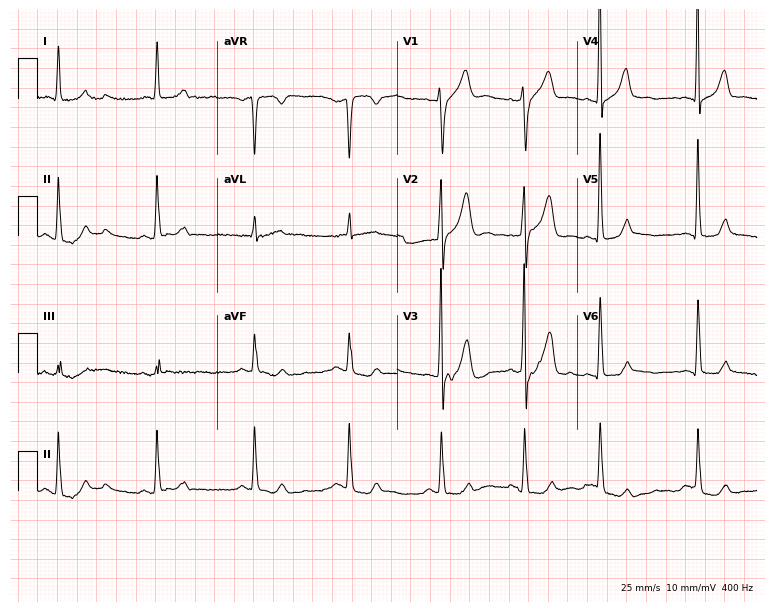
12-lead ECG from a female, 66 years old (7.3-second recording at 400 Hz). No first-degree AV block, right bundle branch block, left bundle branch block, sinus bradycardia, atrial fibrillation or sinus tachycardia recorded for this tracing.